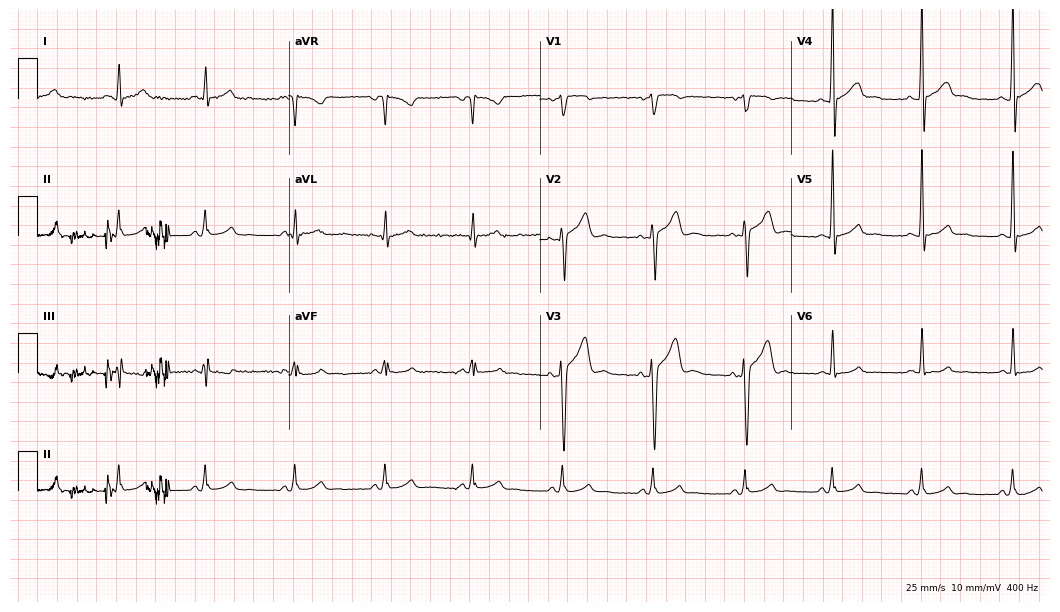
Resting 12-lead electrocardiogram (10.2-second recording at 400 Hz). Patient: a 17-year-old male. Read as a normal ECG.